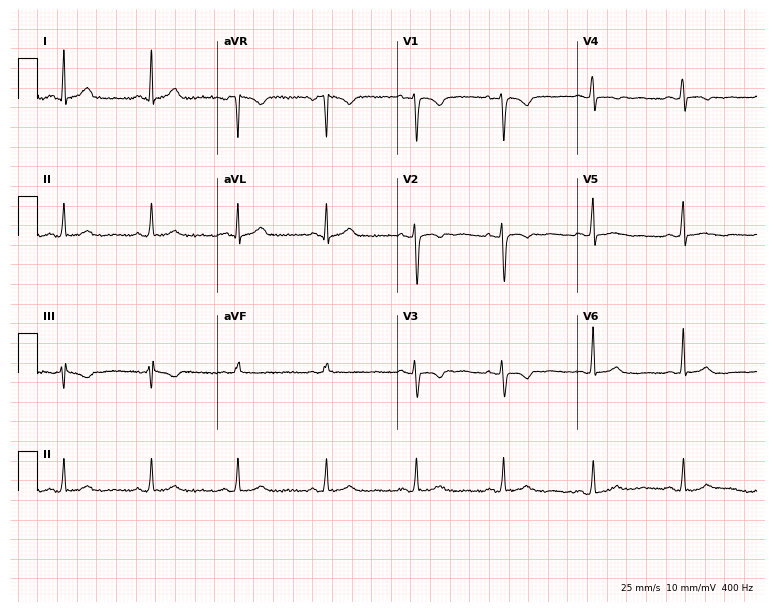
Resting 12-lead electrocardiogram (7.3-second recording at 400 Hz). Patient: a woman, 26 years old. Read as a normal ECG.